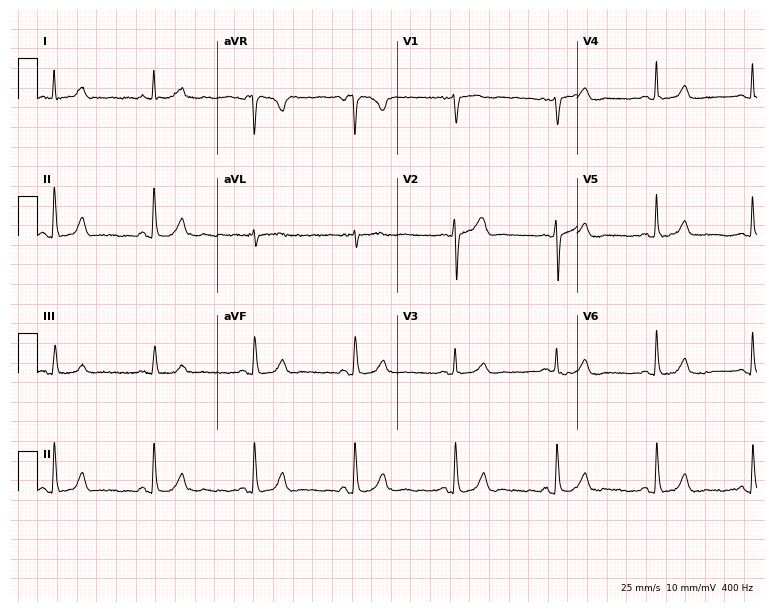
Electrocardiogram (7.3-second recording at 400 Hz), a female patient, 61 years old. Overall reading on record: normal ECG.